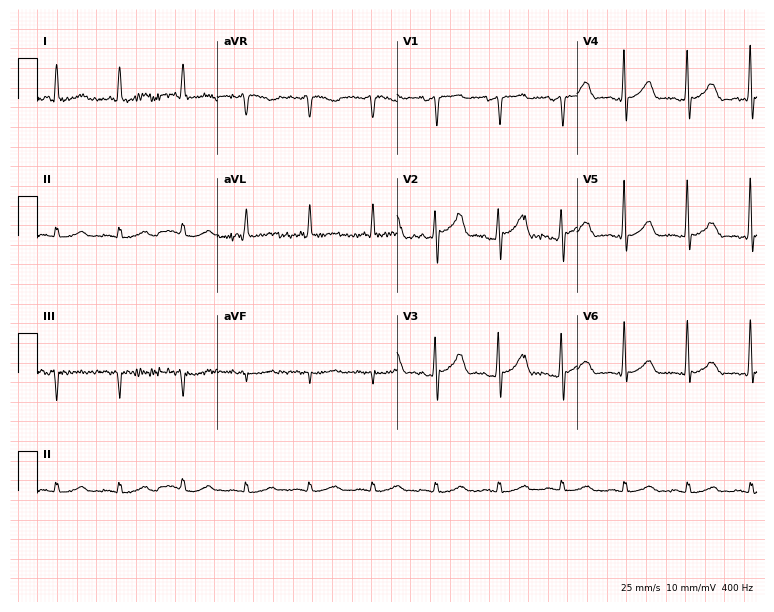
Resting 12-lead electrocardiogram (7.3-second recording at 400 Hz). Patient: a male, 71 years old. None of these six findings is recorded: first-degree AV block, right bundle branch block (RBBB), left bundle branch block (LBBB), sinus bradycardia, atrial fibrillation (AF), sinus tachycardia.